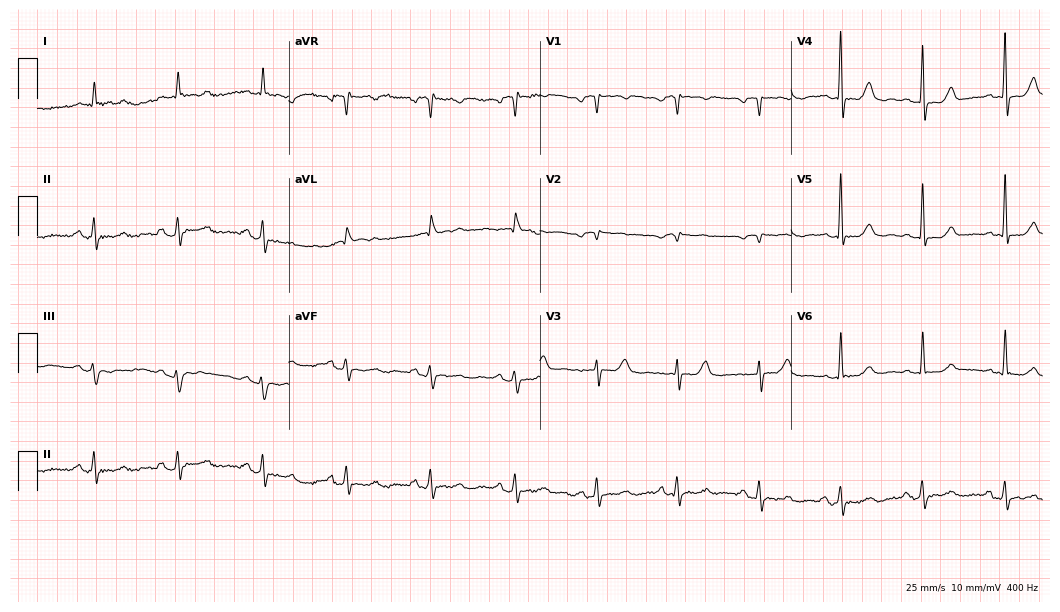
Resting 12-lead electrocardiogram. Patient: a woman, 76 years old. Read as a normal ECG.